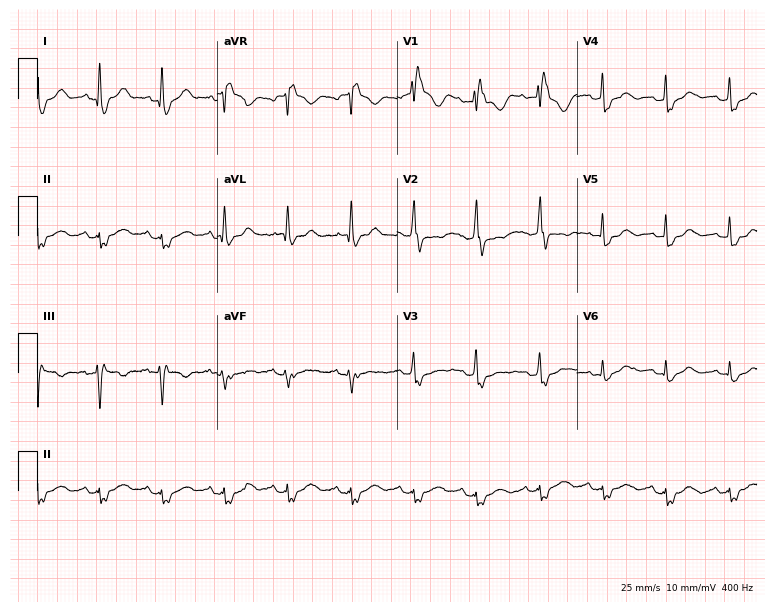
Standard 12-lead ECG recorded from a female patient, 57 years old. The tracing shows right bundle branch block (RBBB).